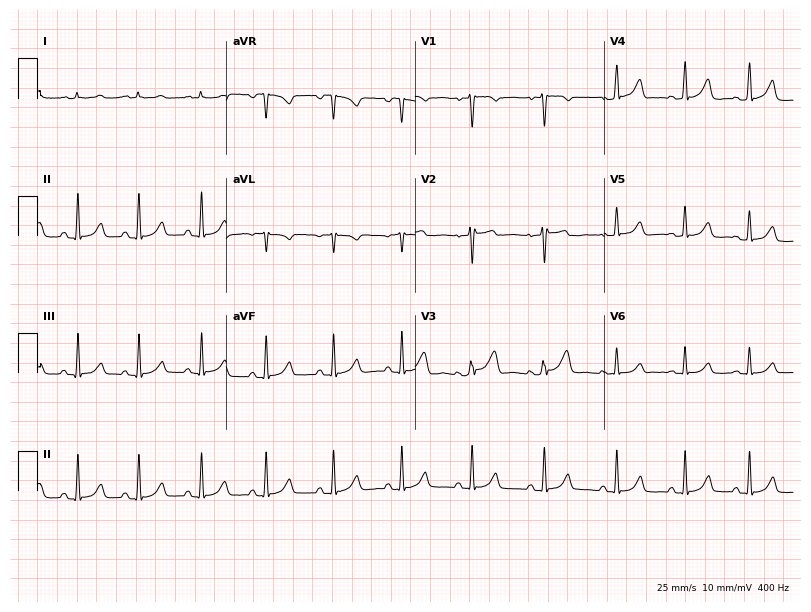
Electrocardiogram (7.7-second recording at 400 Hz), a female patient, 30 years old. Overall reading on record: normal ECG.